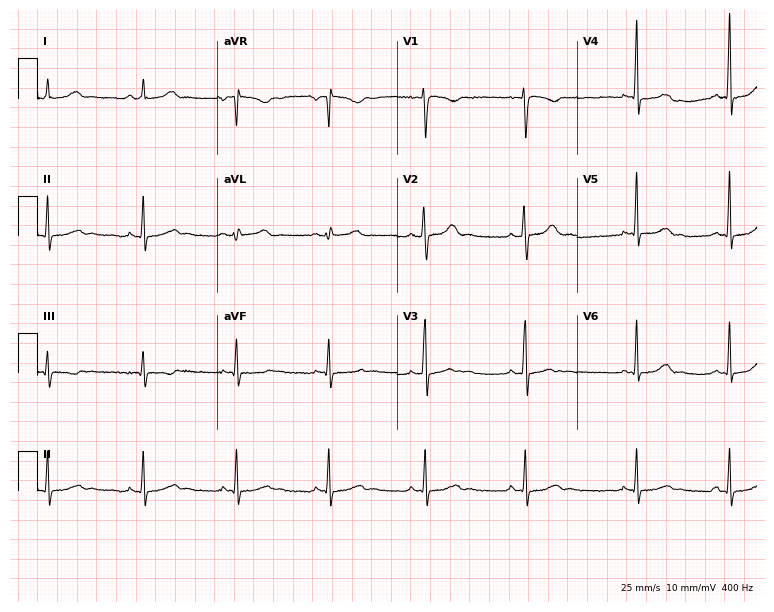
Standard 12-lead ECG recorded from a 17-year-old woman (7.3-second recording at 400 Hz). None of these six findings is recorded: first-degree AV block, right bundle branch block (RBBB), left bundle branch block (LBBB), sinus bradycardia, atrial fibrillation (AF), sinus tachycardia.